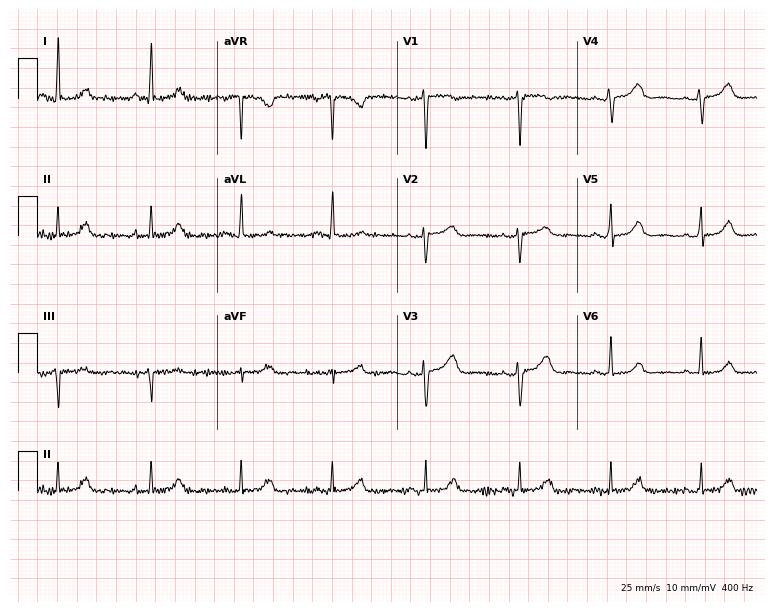
12-lead ECG (7.3-second recording at 400 Hz) from a 58-year-old woman. Labelled as a normal ECG.